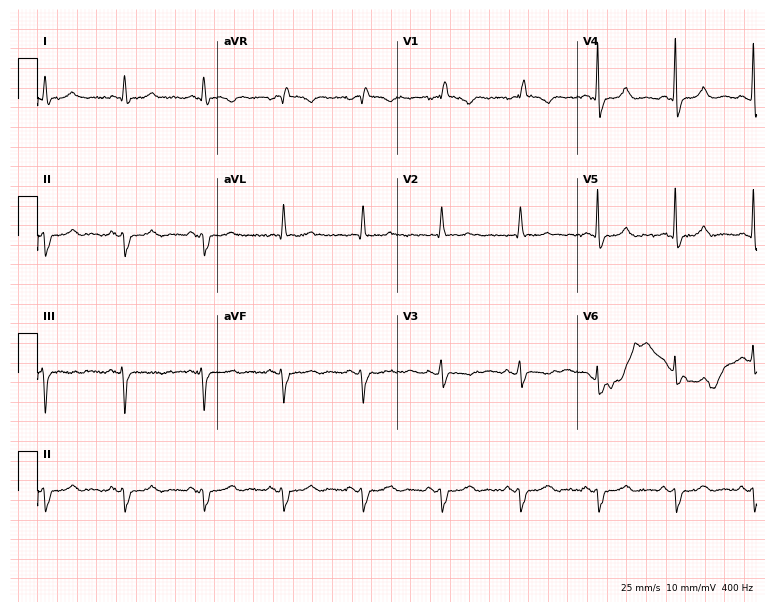
ECG — a female patient, 76 years old. Screened for six findings — first-degree AV block, right bundle branch block (RBBB), left bundle branch block (LBBB), sinus bradycardia, atrial fibrillation (AF), sinus tachycardia — none is recorded. Other findings, if any, are not listed.